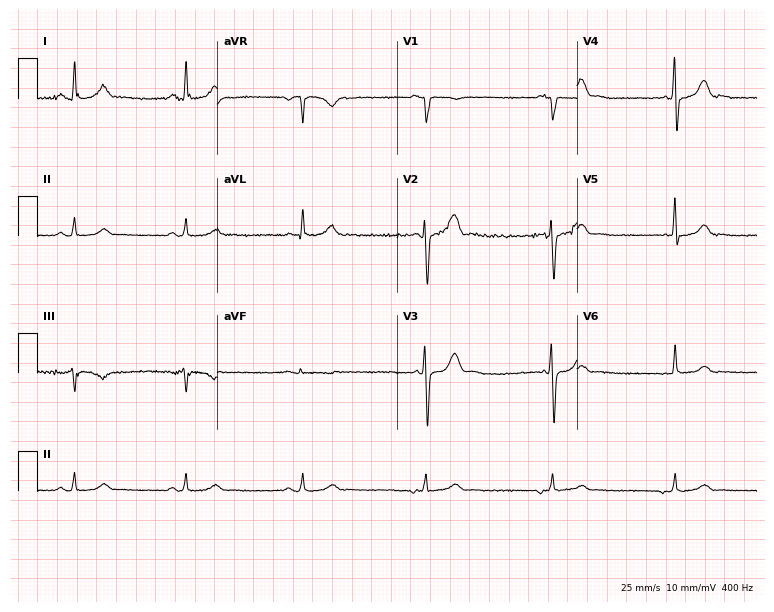
Standard 12-lead ECG recorded from a 46-year-old male patient. None of these six findings is recorded: first-degree AV block, right bundle branch block (RBBB), left bundle branch block (LBBB), sinus bradycardia, atrial fibrillation (AF), sinus tachycardia. Findings outside these six are not listed.